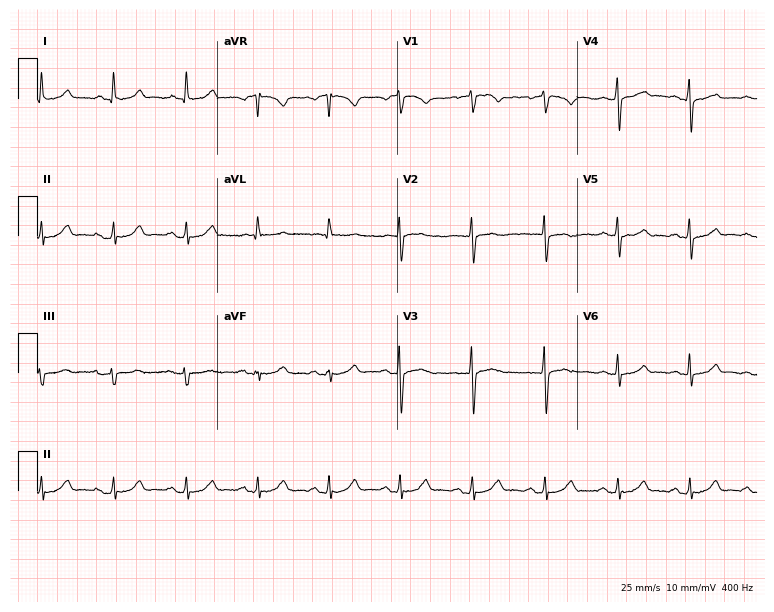
12-lead ECG from a woman, 49 years old. Labelled as a normal ECG.